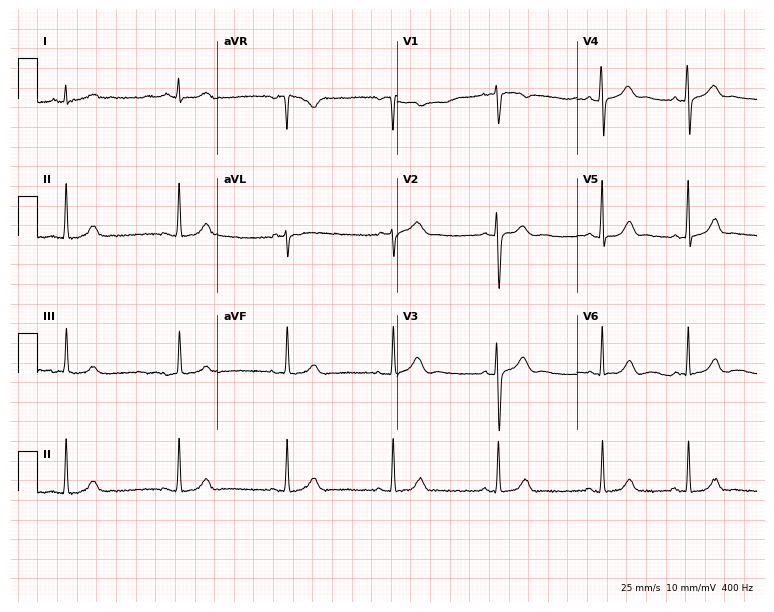
Resting 12-lead electrocardiogram. Patient: a 21-year-old woman. None of these six findings is recorded: first-degree AV block, right bundle branch block, left bundle branch block, sinus bradycardia, atrial fibrillation, sinus tachycardia. Findings outside these six are not listed.